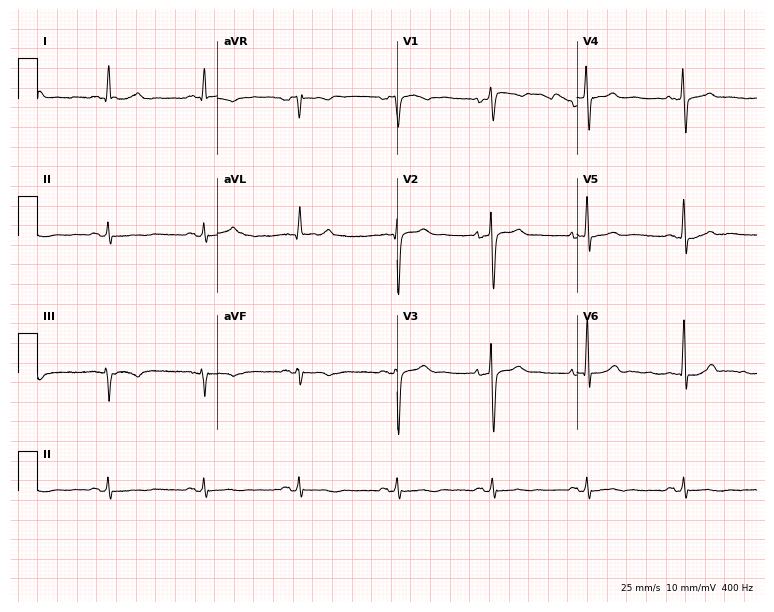
Standard 12-lead ECG recorded from a male, 59 years old (7.3-second recording at 400 Hz). None of these six findings is recorded: first-degree AV block, right bundle branch block, left bundle branch block, sinus bradycardia, atrial fibrillation, sinus tachycardia.